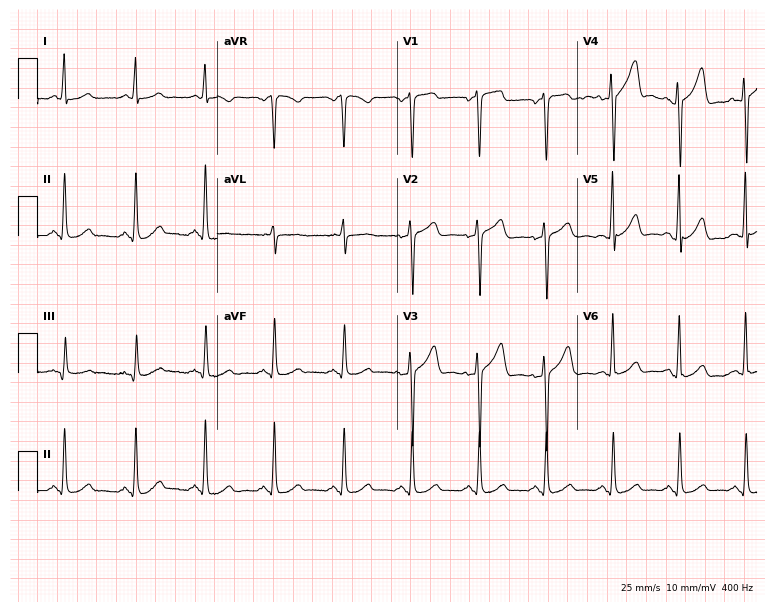
12-lead ECG from a 51-year-old female patient (7.3-second recording at 400 Hz). No first-degree AV block, right bundle branch block (RBBB), left bundle branch block (LBBB), sinus bradycardia, atrial fibrillation (AF) or sinus tachycardia recorded for this tracing.